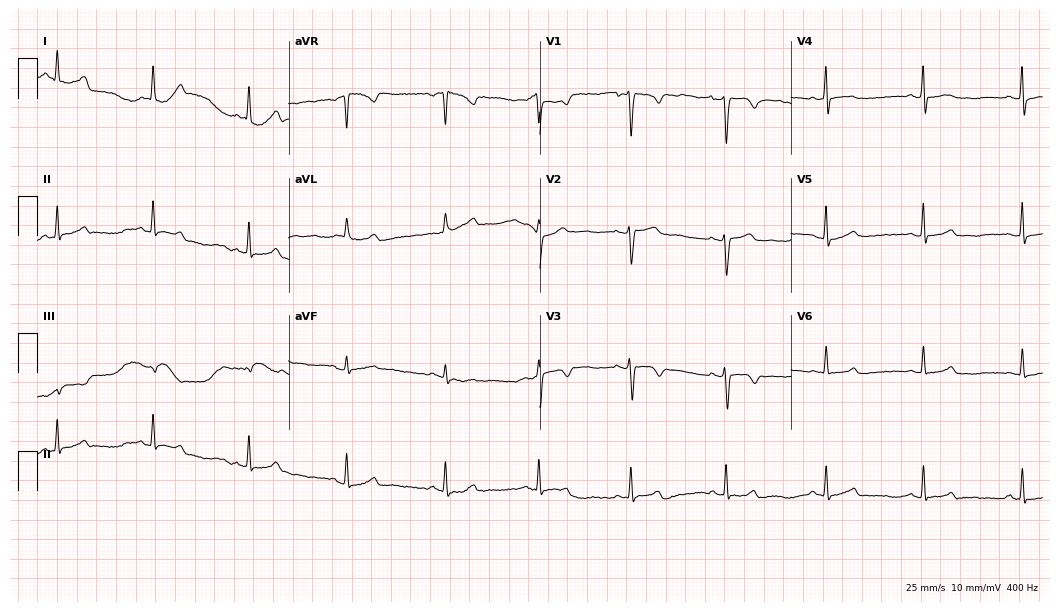
Standard 12-lead ECG recorded from a 28-year-old female patient (10.2-second recording at 400 Hz). Read as a normal ECG.